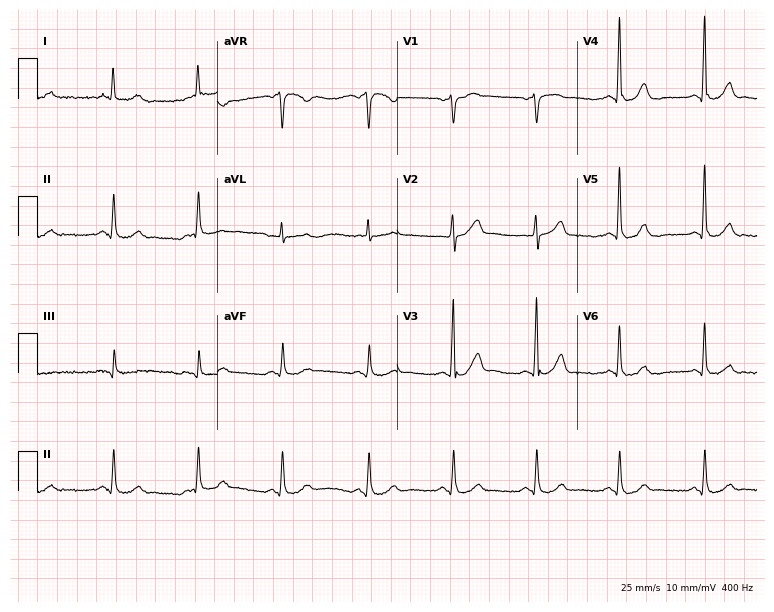
Standard 12-lead ECG recorded from a 65-year-old male (7.3-second recording at 400 Hz). Read as a normal ECG.